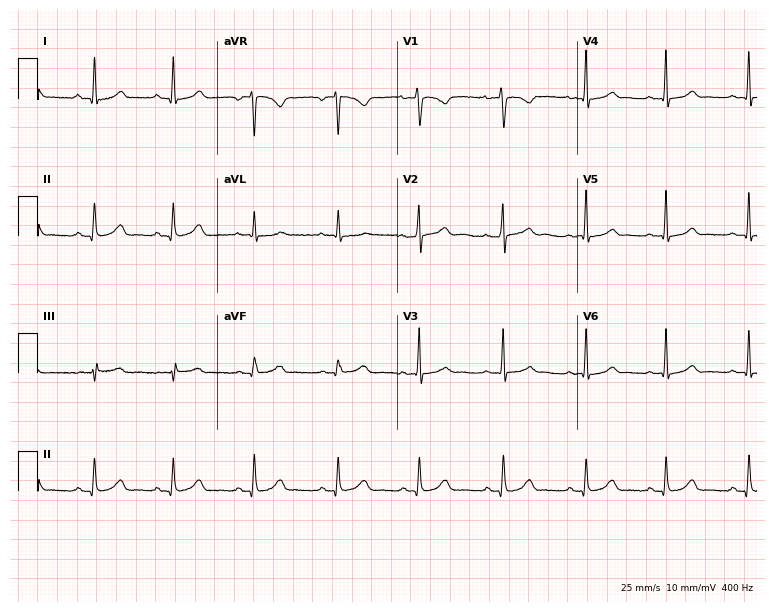
Electrocardiogram (7.3-second recording at 400 Hz), a 31-year-old female. Overall reading on record: normal ECG.